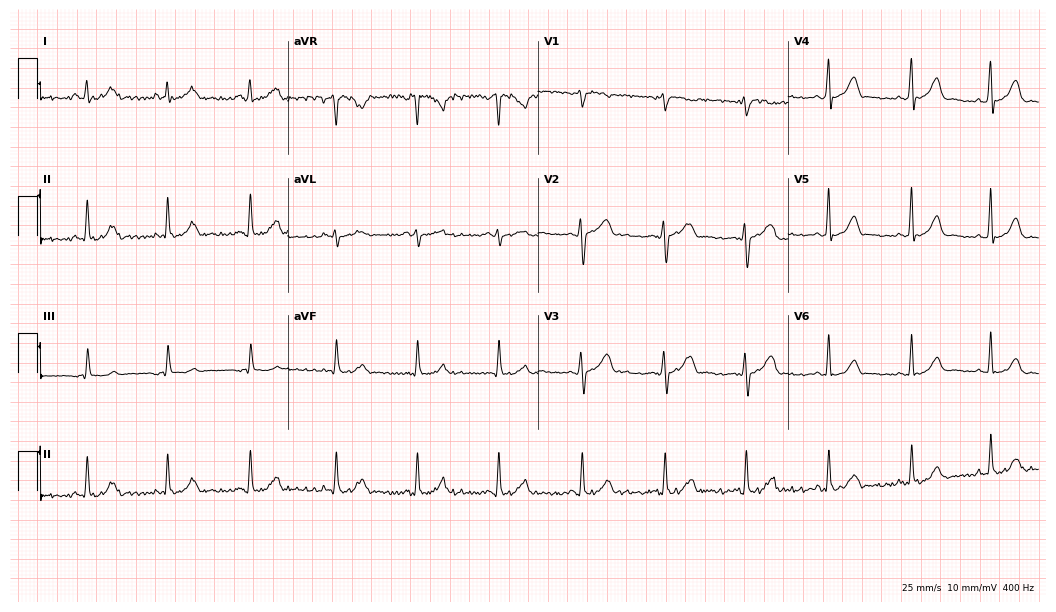
12-lead ECG (10.2-second recording at 400 Hz) from a 44-year-old female patient. Labelled as a normal ECG.